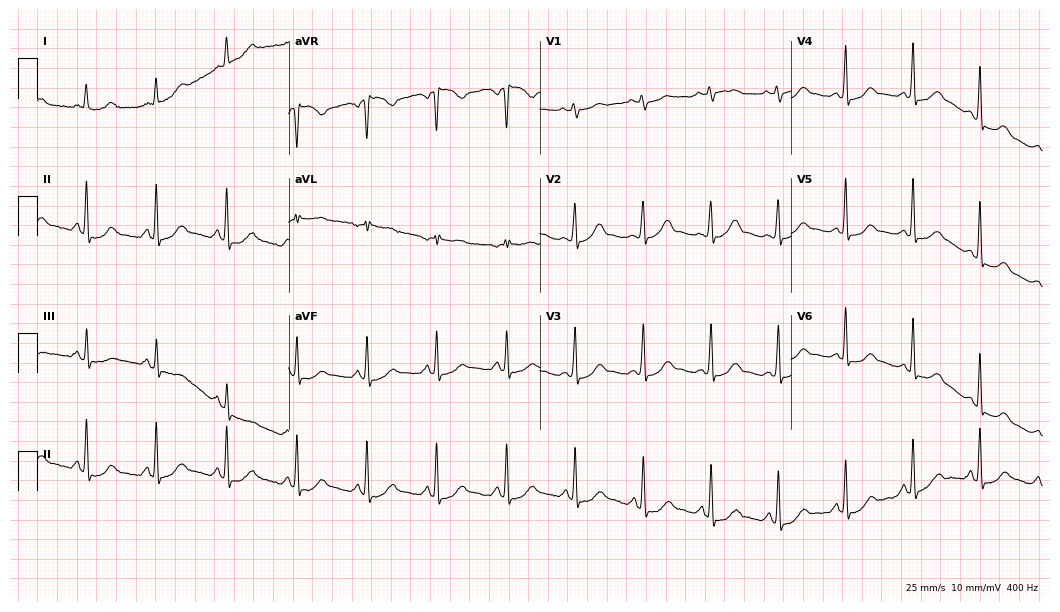
ECG (10.2-second recording at 400 Hz) — a female patient, 54 years old. Screened for six findings — first-degree AV block, right bundle branch block, left bundle branch block, sinus bradycardia, atrial fibrillation, sinus tachycardia — none is recorded.